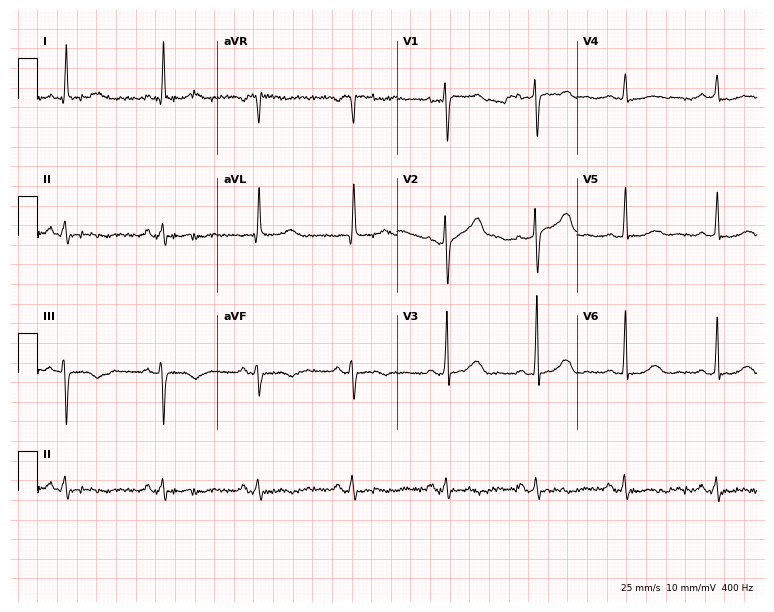
Standard 12-lead ECG recorded from a 47-year-old female (7.3-second recording at 400 Hz). None of these six findings is recorded: first-degree AV block, right bundle branch block (RBBB), left bundle branch block (LBBB), sinus bradycardia, atrial fibrillation (AF), sinus tachycardia. Only these six findings were labelled.